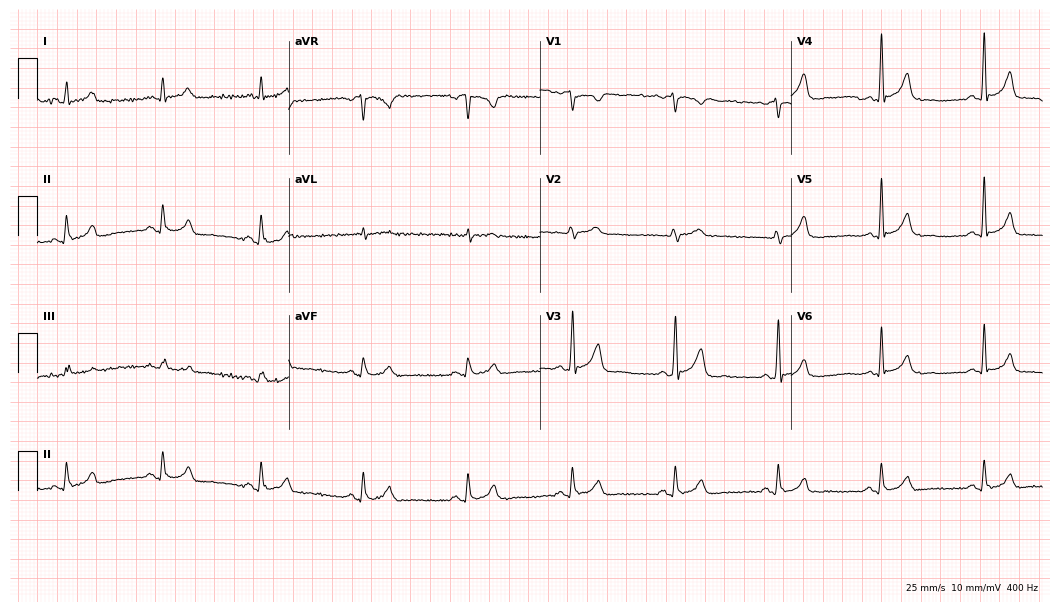
ECG (10.2-second recording at 400 Hz) — a male patient, 67 years old. Labelled as a normal ECG.